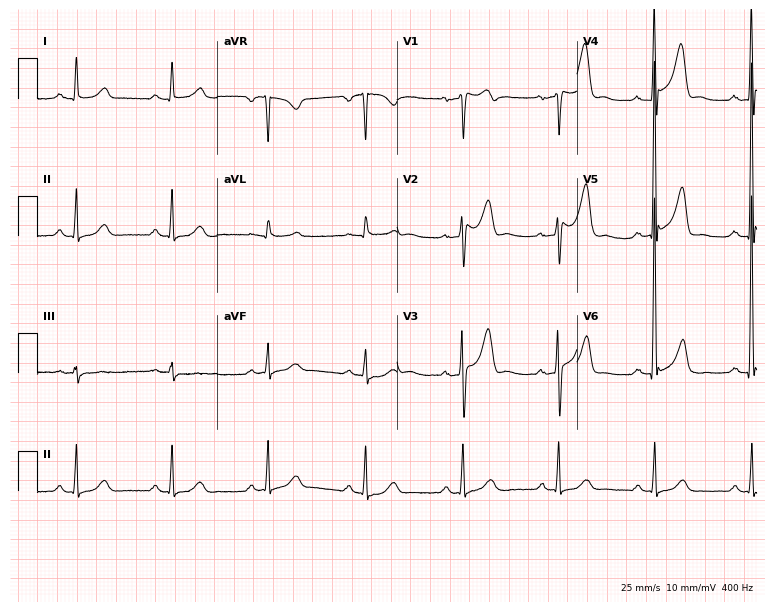
ECG — a male patient, 59 years old. Screened for six findings — first-degree AV block, right bundle branch block, left bundle branch block, sinus bradycardia, atrial fibrillation, sinus tachycardia — none is recorded.